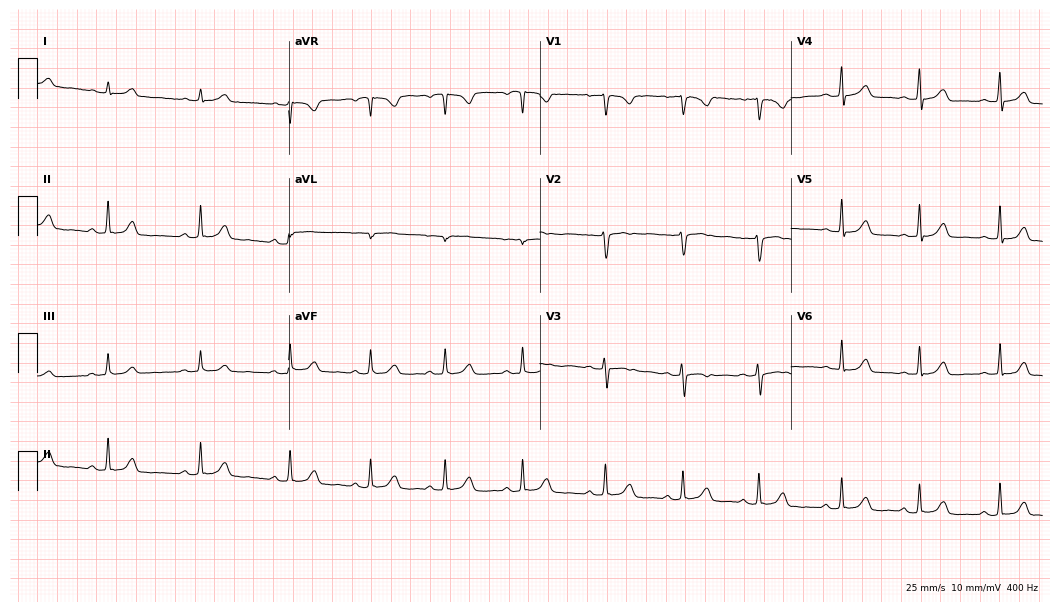
ECG (10.2-second recording at 400 Hz) — a 28-year-old female patient. Labelled as a normal ECG.